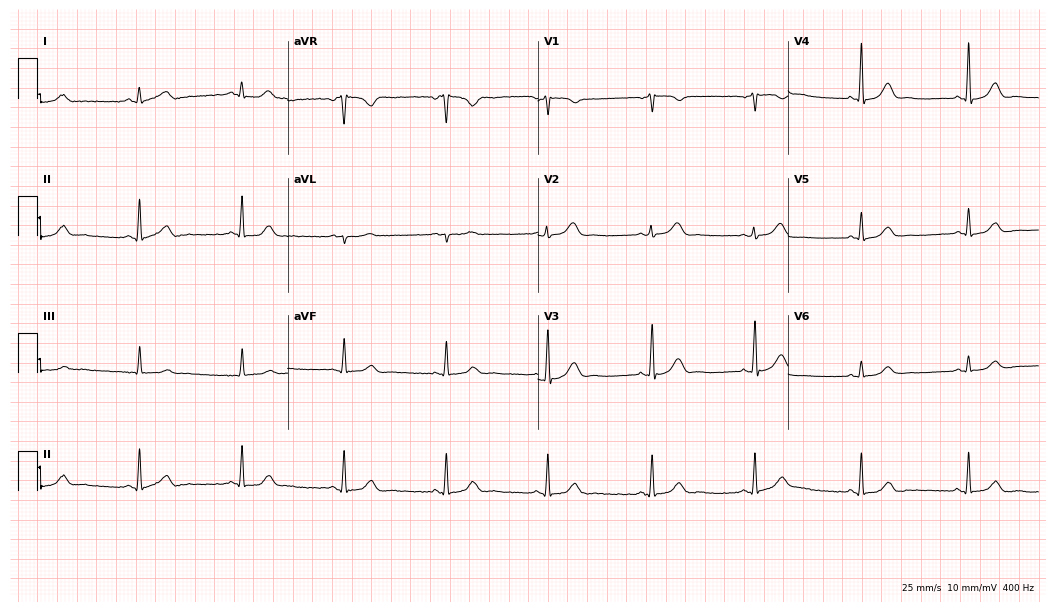
Resting 12-lead electrocardiogram (10.2-second recording at 400 Hz). Patient: a 56-year-old woman. None of these six findings is recorded: first-degree AV block, right bundle branch block, left bundle branch block, sinus bradycardia, atrial fibrillation, sinus tachycardia. Other findings, if any, are not listed.